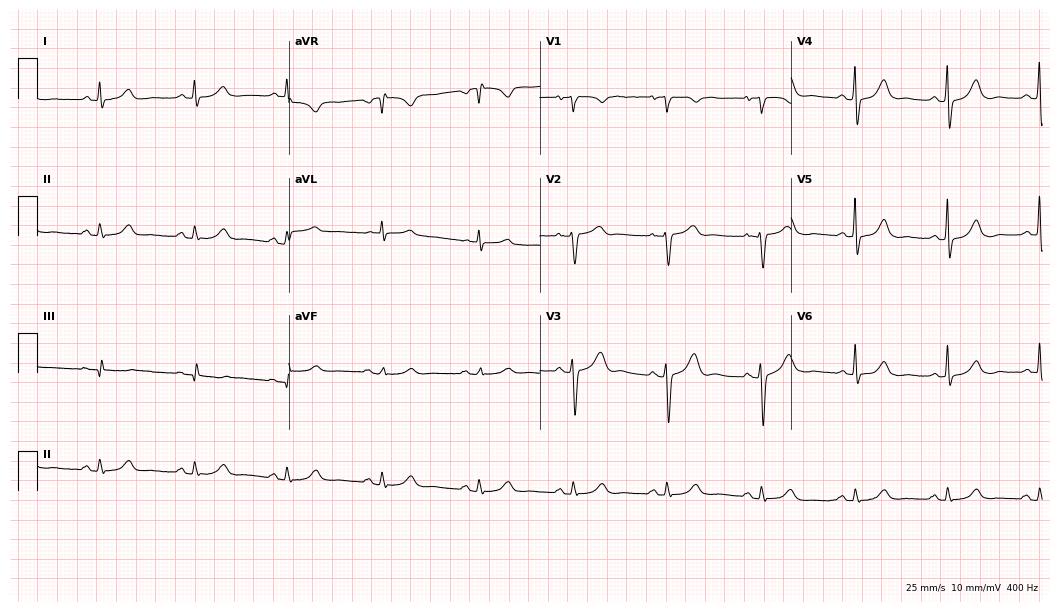
Electrocardiogram (10.2-second recording at 400 Hz), a 73-year-old woman. Overall reading on record: normal ECG.